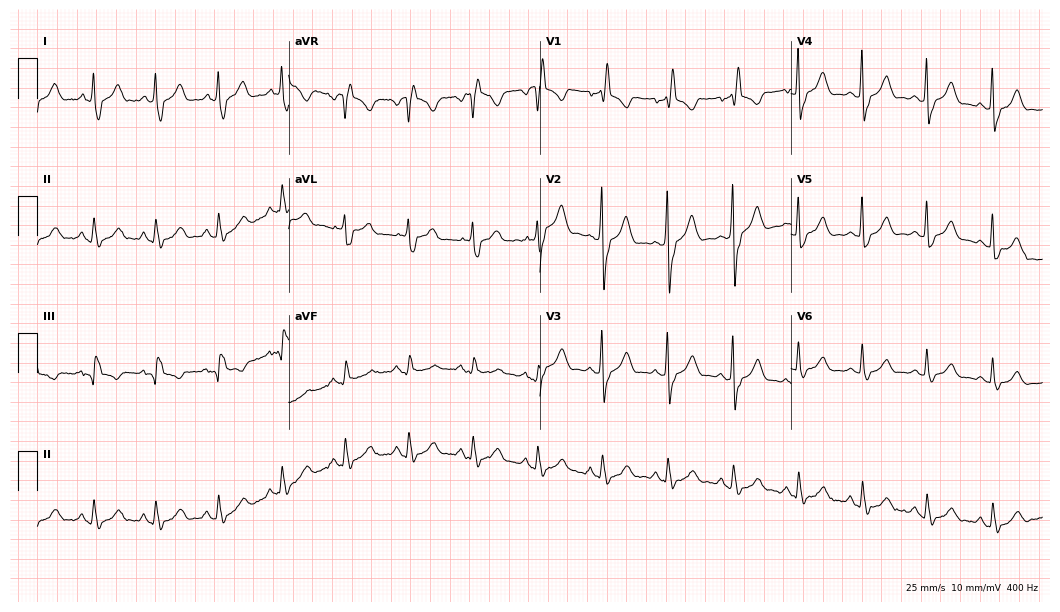
12-lead ECG (10.2-second recording at 400 Hz) from a 57-year-old female. Screened for six findings — first-degree AV block, right bundle branch block, left bundle branch block, sinus bradycardia, atrial fibrillation, sinus tachycardia — none is recorded.